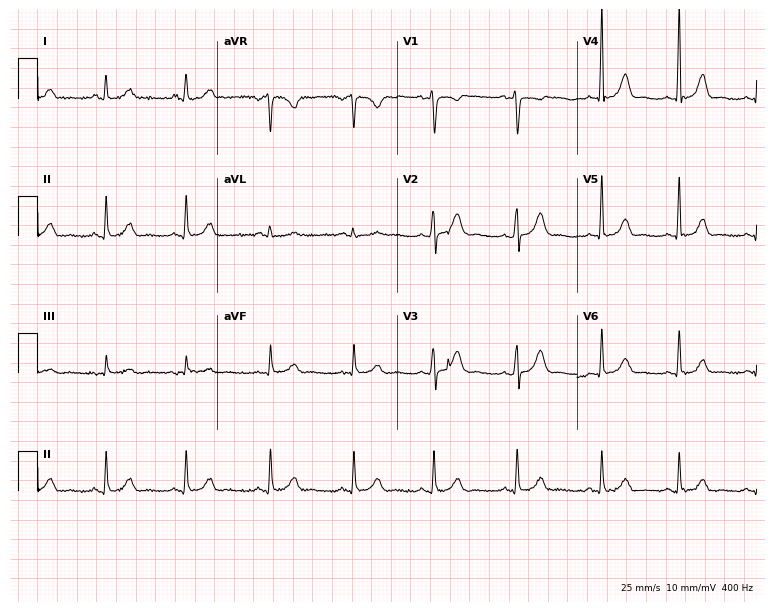
Resting 12-lead electrocardiogram (7.3-second recording at 400 Hz). Patient: a female, 28 years old. Read as a normal ECG.